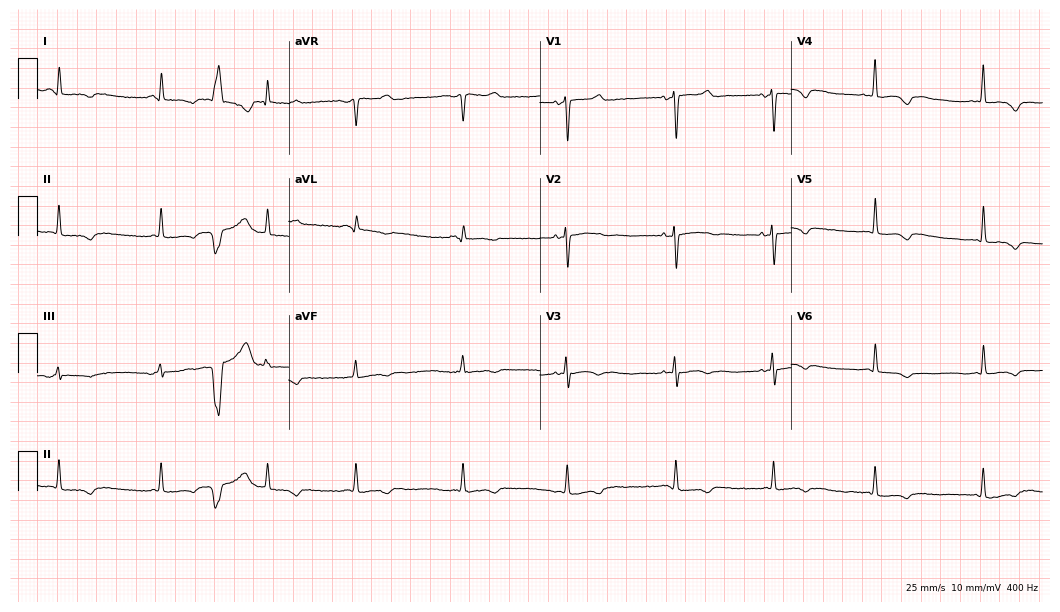
12-lead ECG (10.2-second recording at 400 Hz) from a female, 43 years old. Screened for six findings — first-degree AV block, right bundle branch block, left bundle branch block, sinus bradycardia, atrial fibrillation, sinus tachycardia — none is recorded.